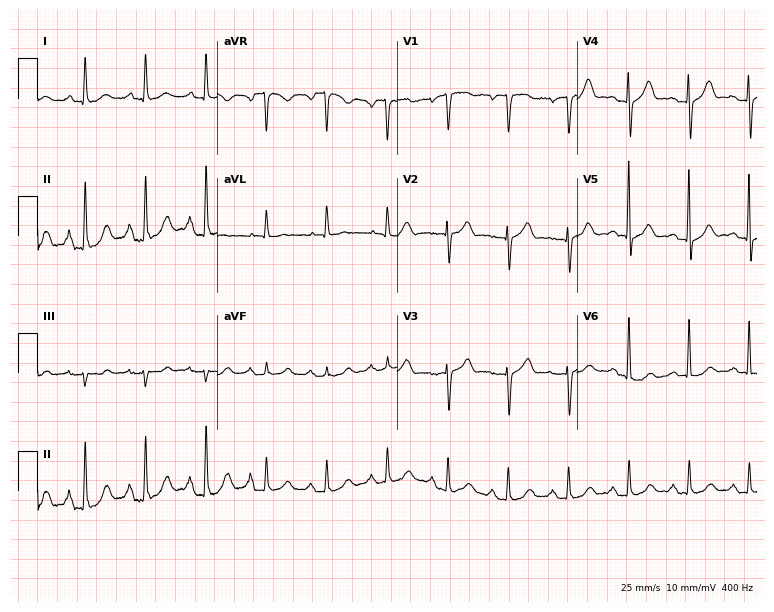
12-lead ECG from a male patient, 81 years old (7.3-second recording at 400 Hz). Recorded interpretation: within normal limits.